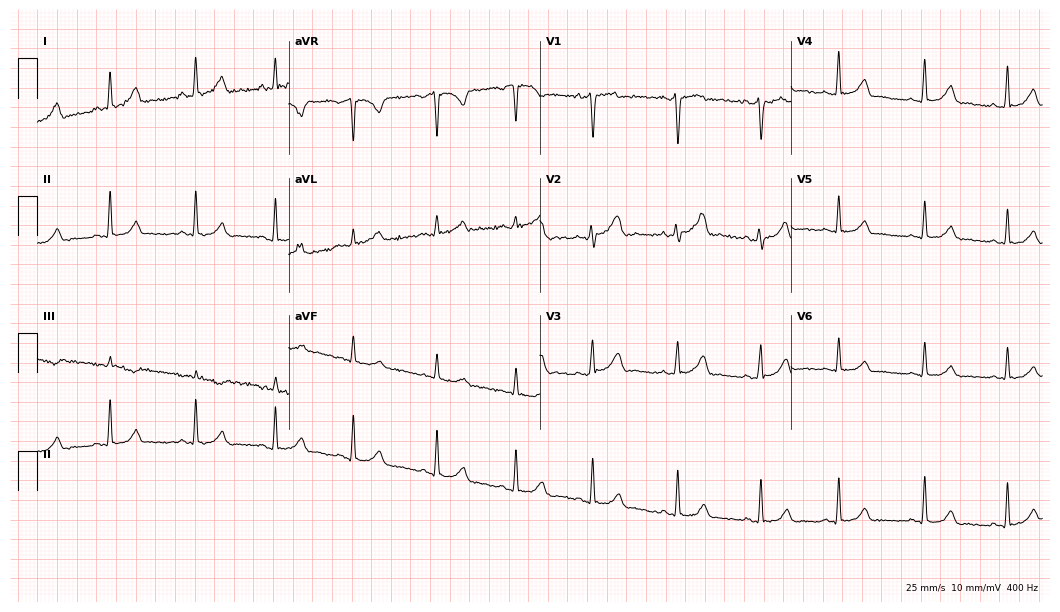
Electrocardiogram (10.2-second recording at 400 Hz), a 22-year-old female. Of the six screened findings (first-degree AV block, right bundle branch block, left bundle branch block, sinus bradycardia, atrial fibrillation, sinus tachycardia), none is recorded.